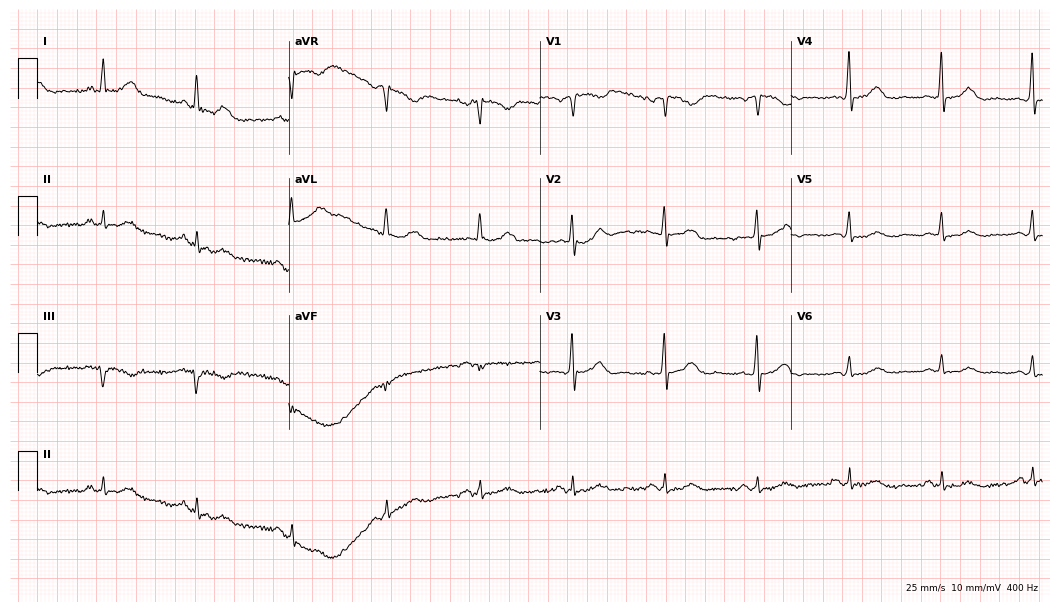
Standard 12-lead ECG recorded from a woman, 77 years old (10.2-second recording at 400 Hz). Read as a normal ECG.